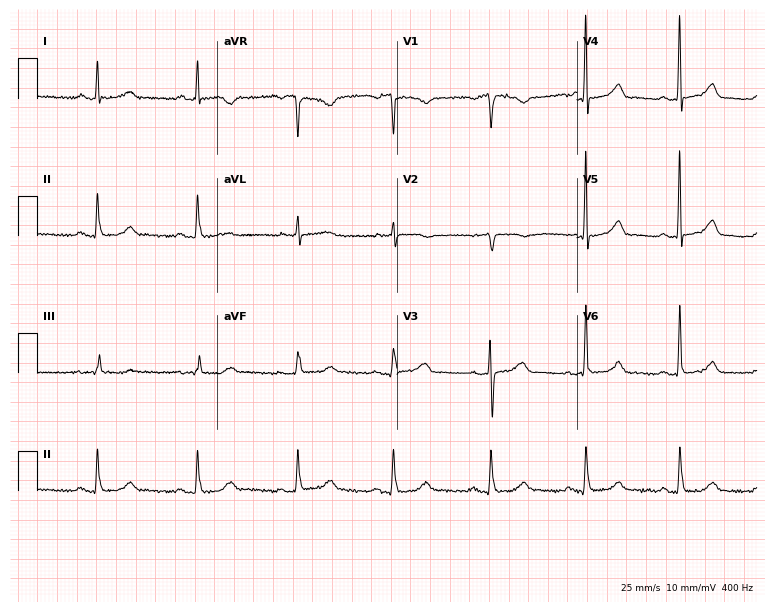
Electrocardiogram, a 75-year-old male. Overall reading on record: normal ECG.